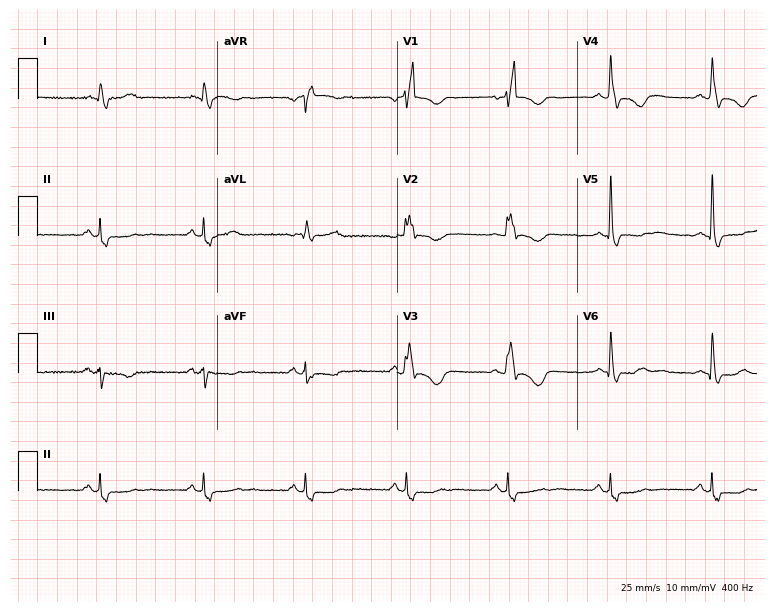
12-lead ECG from a female, 76 years old (7.3-second recording at 400 Hz). No first-degree AV block, right bundle branch block, left bundle branch block, sinus bradycardia, atrial fibrillation or sinus tachycardia recorded for this tracing. Only these six findings were labelled.